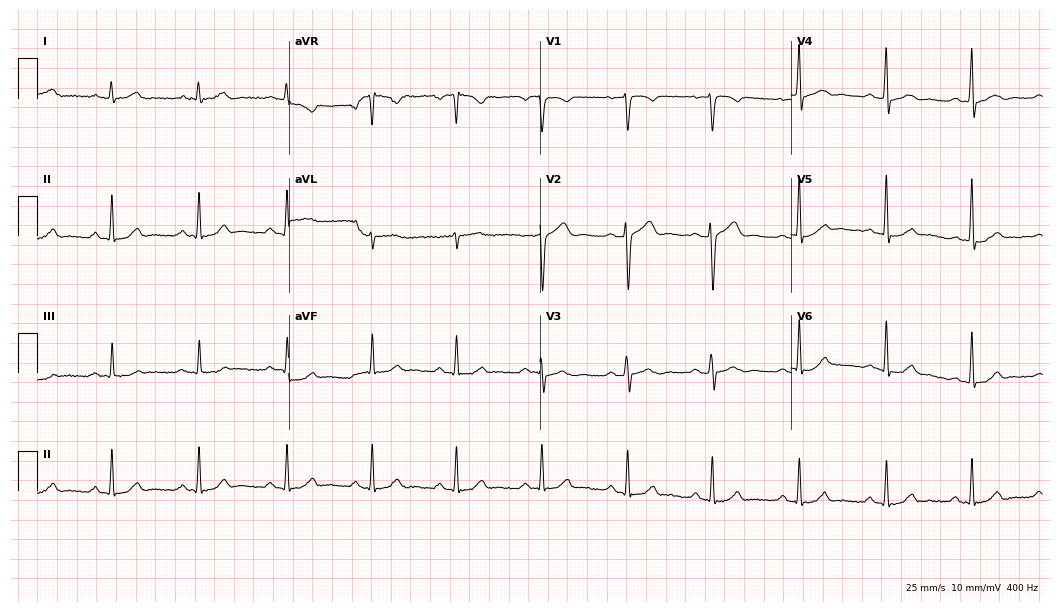
12-lead ECG from a man, 45 years old (10.2-second recording at 400 Hz). Recorded interpretation: within normal limits.